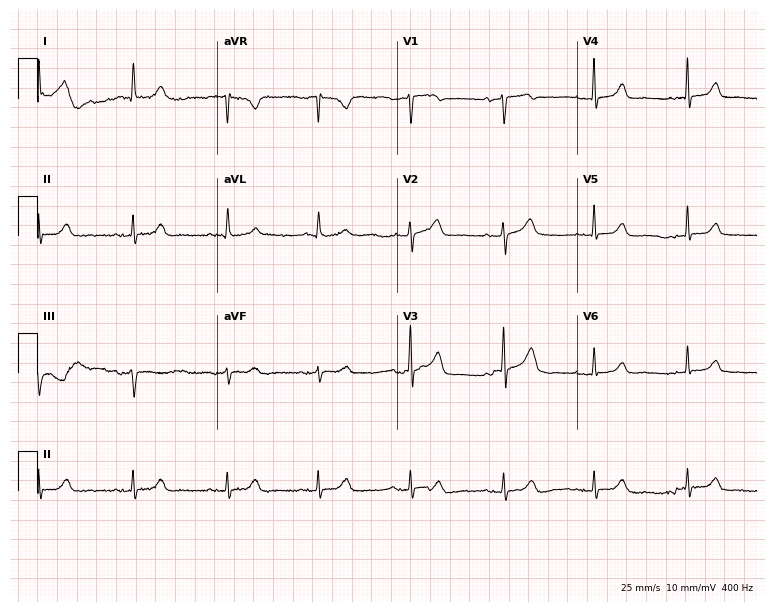
ECG — a female, 83 years old. Labelled as a normal ECG.